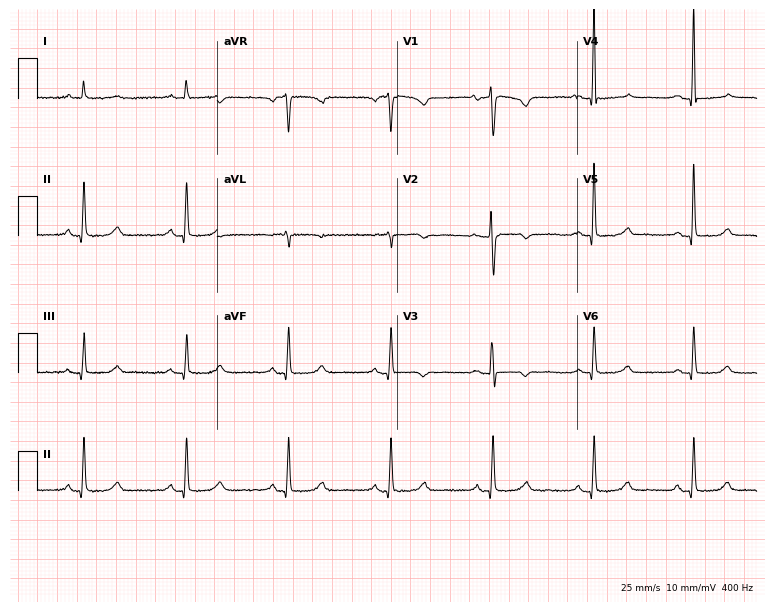
12-lead ECG from a female, 73 years old (7.3-second recording at 400 Hz). No first-degree AV block, right bundle branch block, left bundle branch block, sinus bradycardia, atrial fibrillation or sinus tachycardia recorded for this tracing.